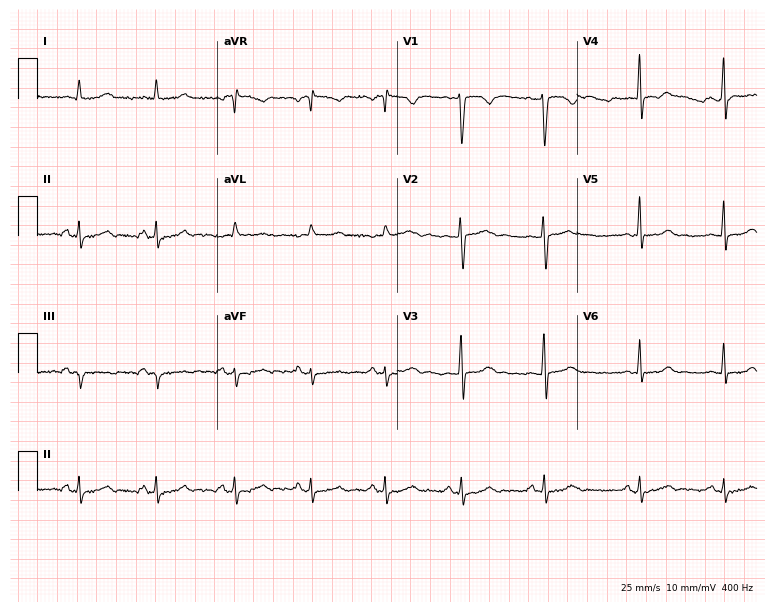
12-lead ECG from a 28-year-old female patient. Screened for six findings — first-degree AV block, right bundle branch block (RBBB), left bundle branch block (LBBB), sinus bradycardia, atrial fibrillation (AF), sinus tachycardia — none is recorded.